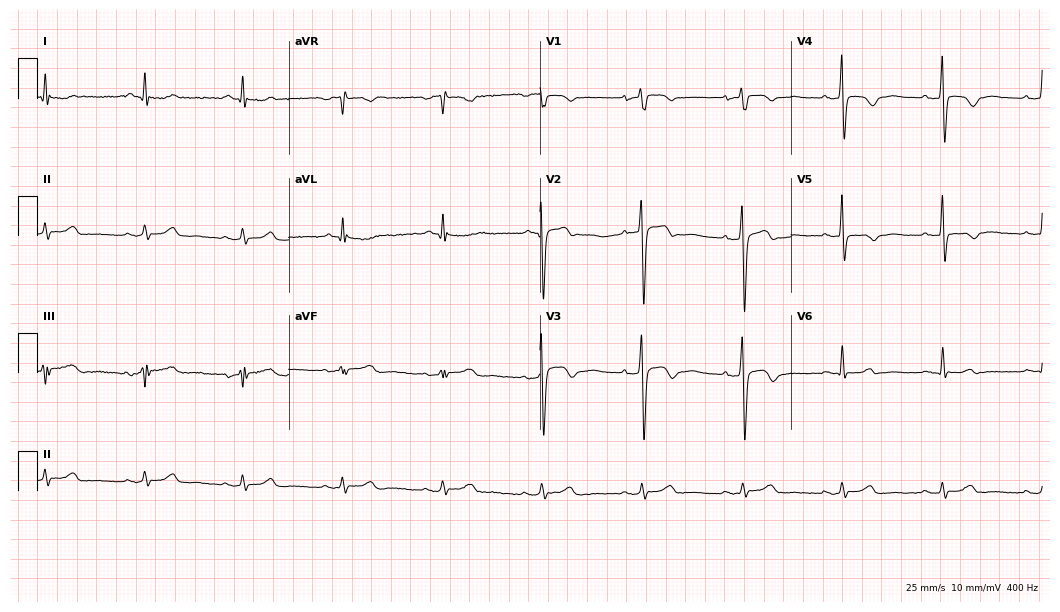
12-lead ECG from a 69-year-old male patient. Labelled as a normal ECG.